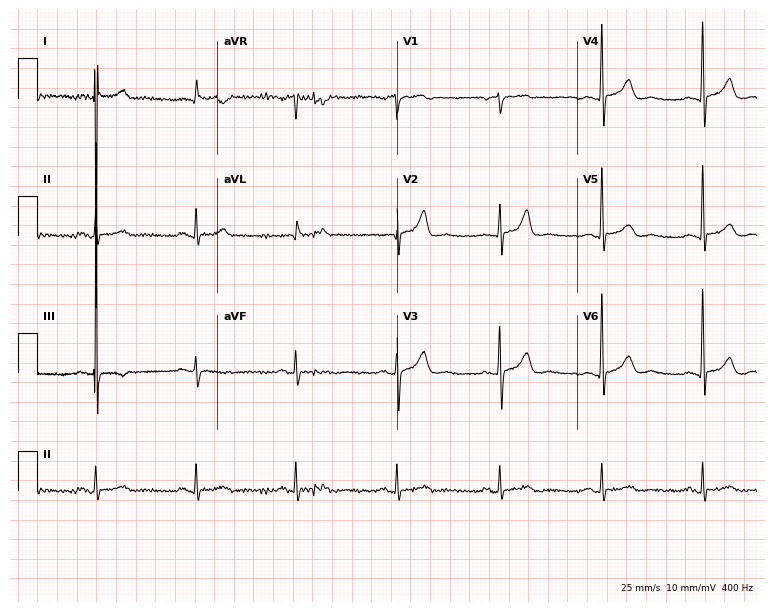
12-lead ECG from a male, 80 years old. Labelled as a normal ECG.